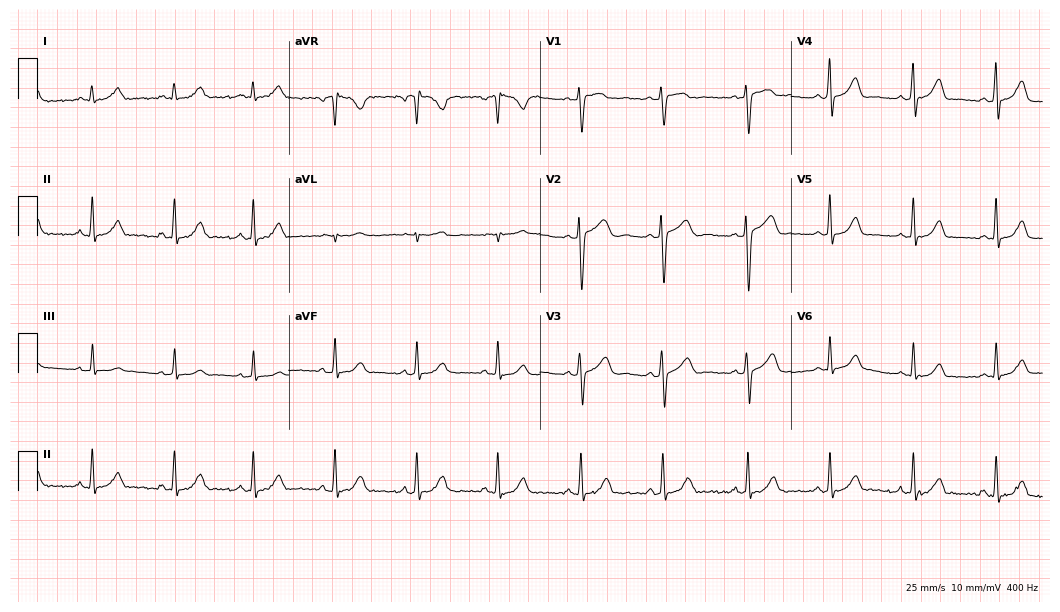
Resting 12-lead electrocardiogram. Patient: a female, 44 years old. Read as a normal ECG.